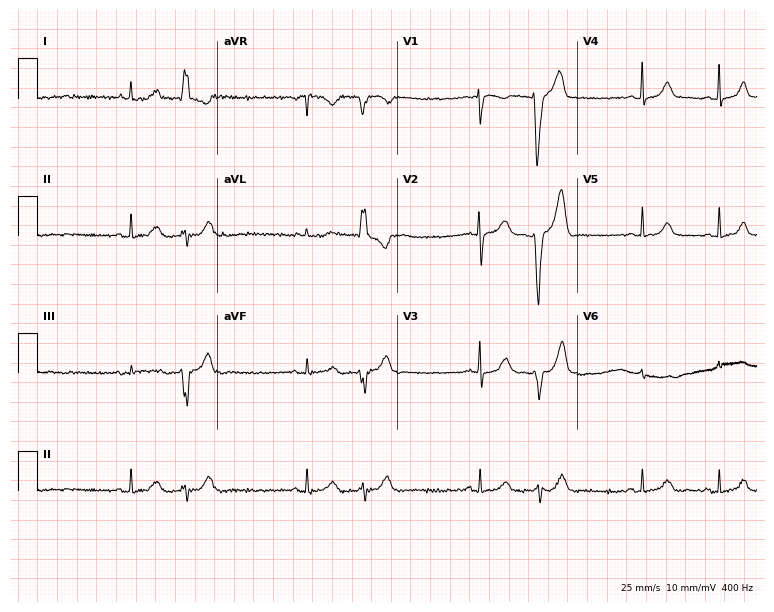
Resting 12-lead electrocardiogram. Patient: a female, 46 years old. None of these six findings is recorded: first-degree AV block, right bundle branch block, left bundle branch block, sinus bradycardia, atrial fibrillation, sinus tachycardia. Only these six findings were labelled.